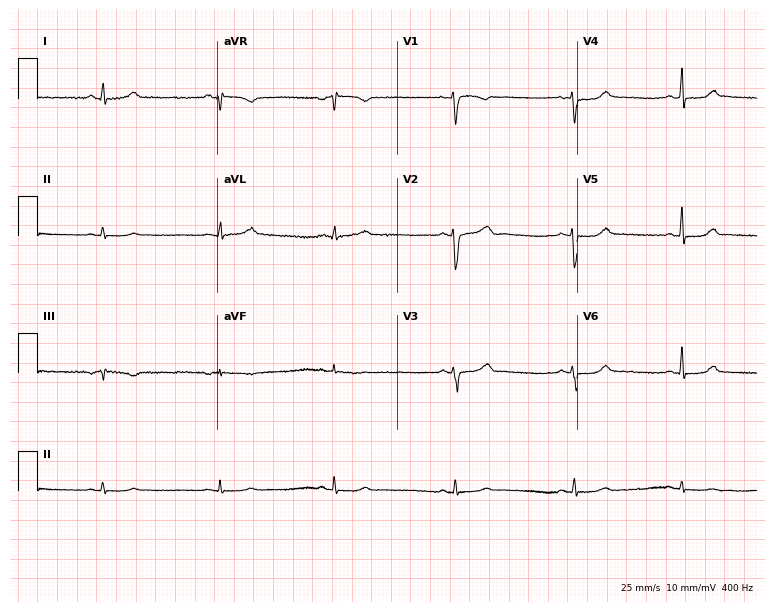
Standard 12-lead ECG recorded from a 28-year-old female (7.3-second recording at 400 Hz). None of these six findings is recorded: first-degree AV block, right bundle branch block, left bundle branch block, sinus bradycardia, atrial fibrillation, sinus tachycardia. Findings outside these six are not listed.